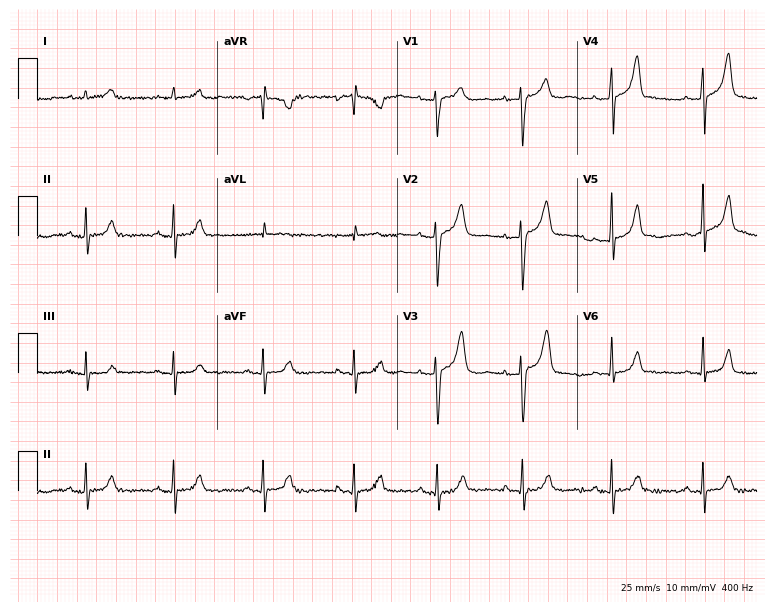
Standard 12-lead ECG recorded from a female, 44 years old. Read as a normal ECG.